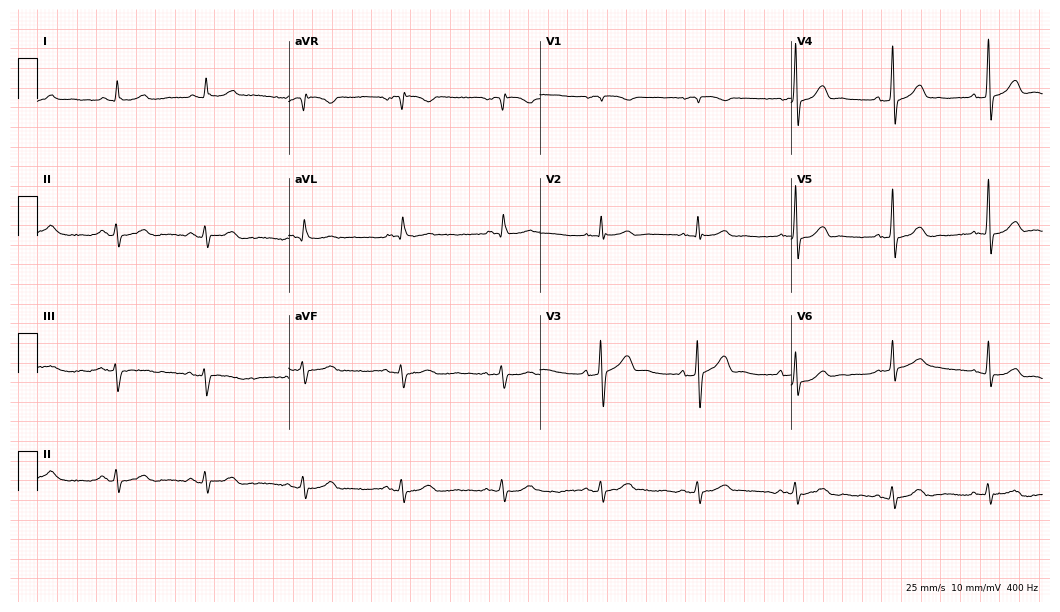
12-lead ECG from a 55-year-old male patient (10.2-second recording at 400 Hz). Recorded interpretation: within normal limits.